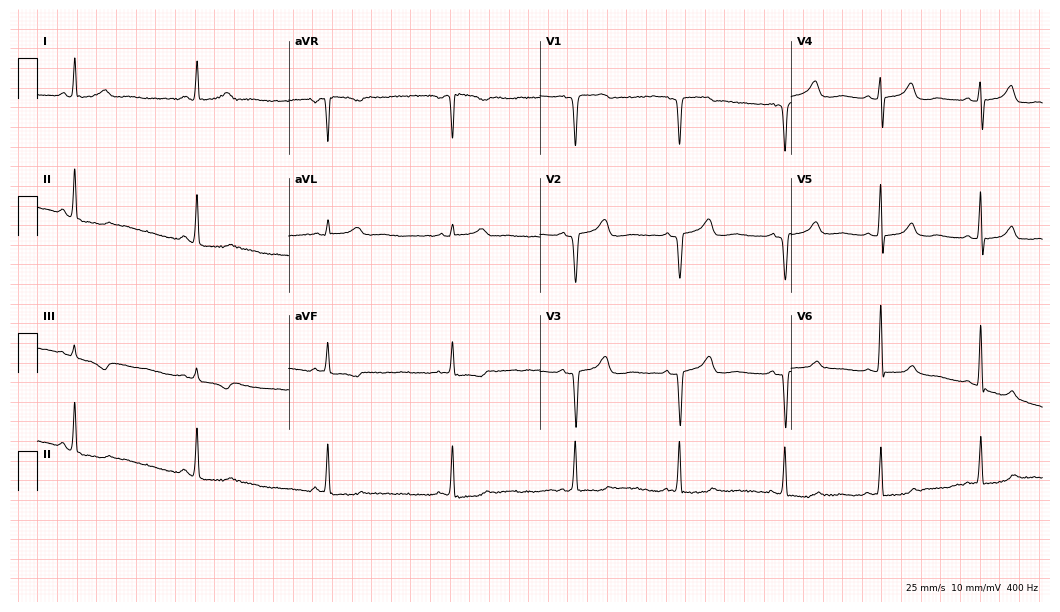
ECG (10.2-second recording at 400 Hz) — a 38-year-old woman. Screened for six findings — first-degree AV block, right bundle branch block, left bundle branch block, sinus bradycardia, atrial fibrillation, sinus tachycardia — none is recorded.